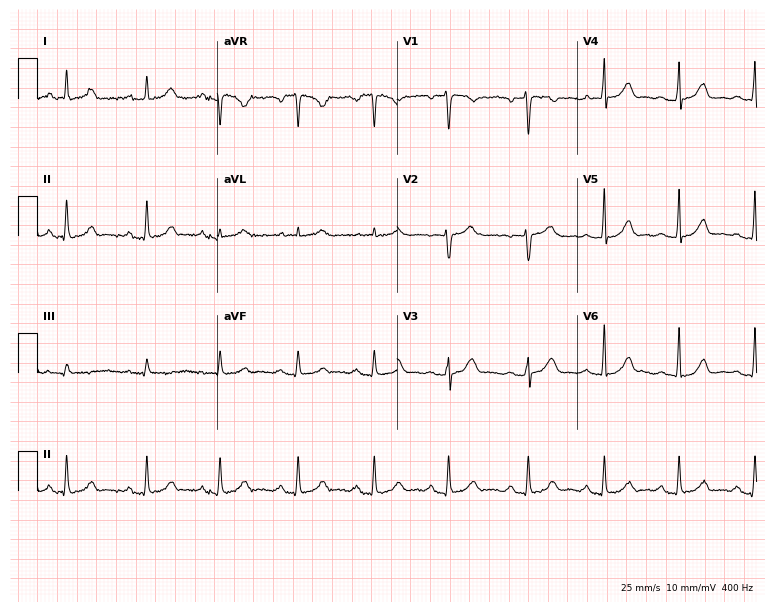
Electrocardiogram (7.3-second recording at 400 Hz), a 25-year-old female patient. Overall reading on record: normal ECG.